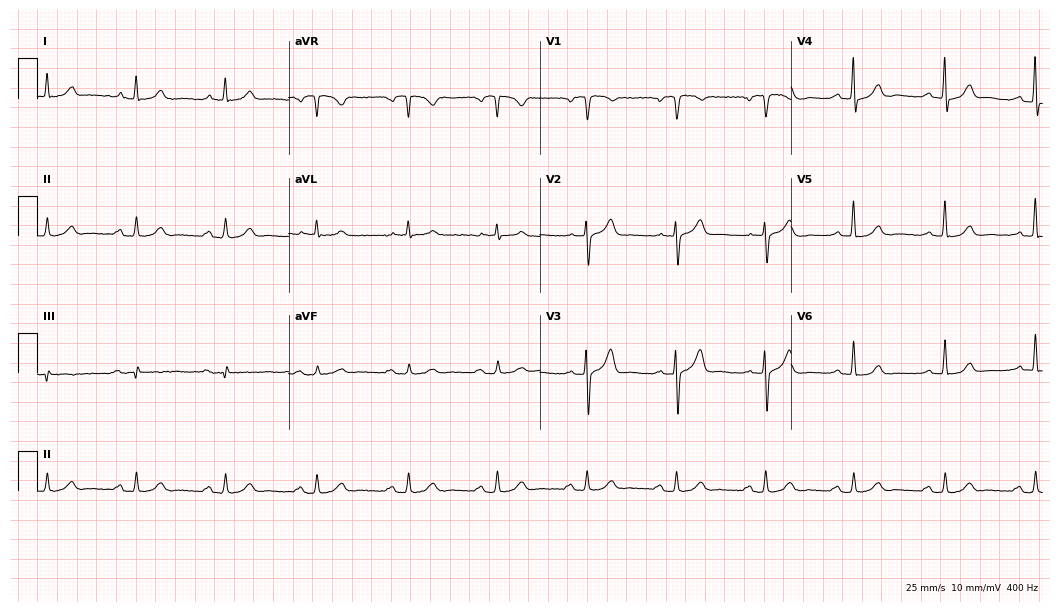
ECG — a male, 78 years old. Labelled as a normal ECG.